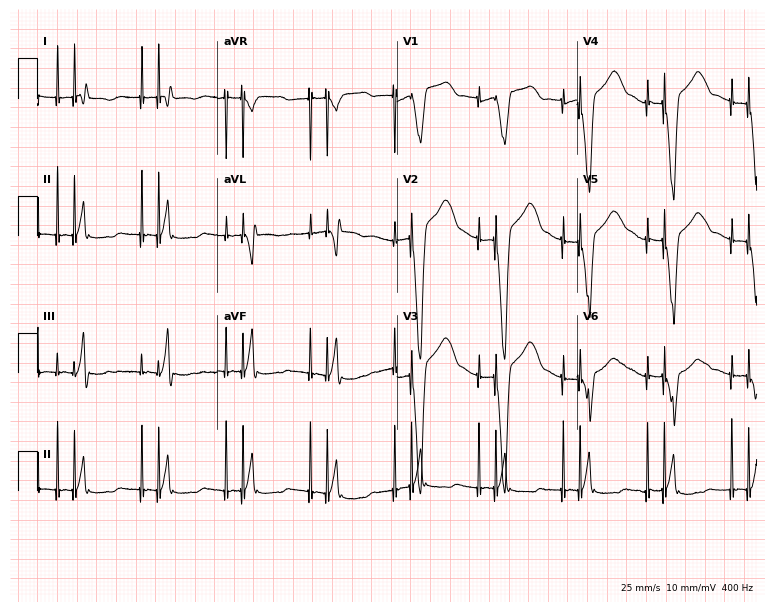
12-lead ECG from a 62-year-old man. Screened for six findings — first-degree AV block, right bundle branch block, left bundle branch block, sinus bradycardia, atrial fibrillation, sinus tachycardia — none is recorded.